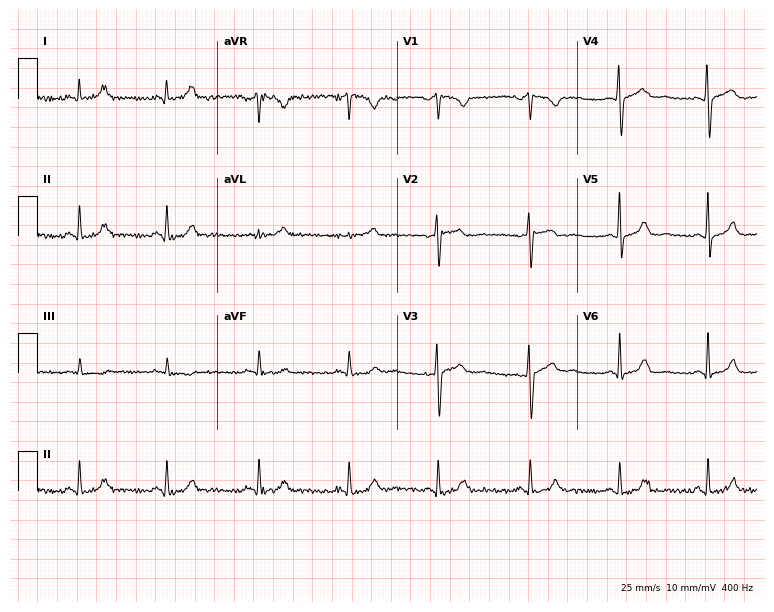
ECG (7.3-second recording at 400 Hz) — a 38-year-old female patient. Labelled as a normal ECG.